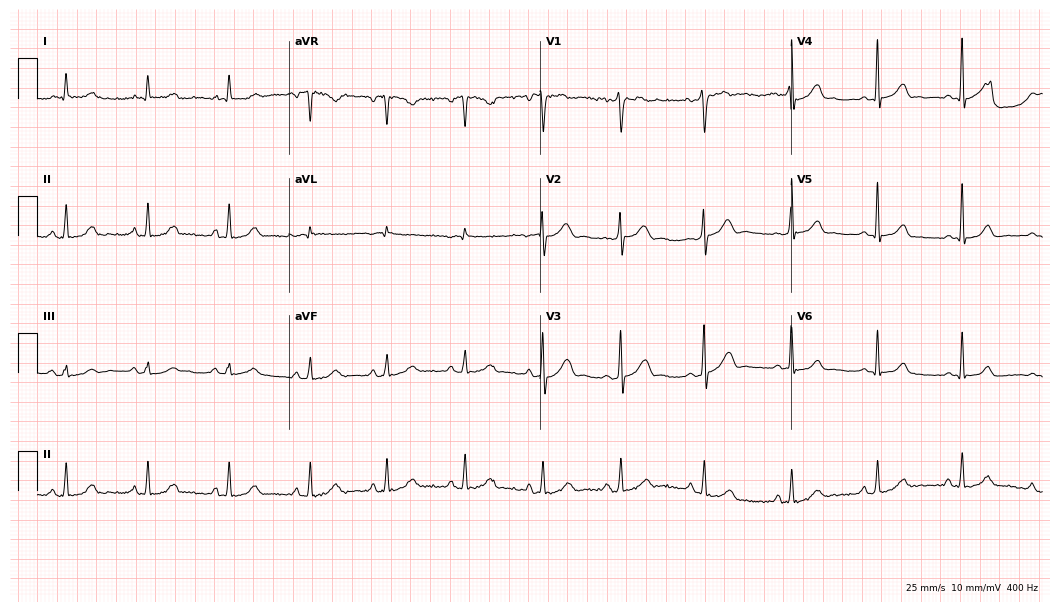
Electrocardiogram (10.2-second recording at 400 Hz), a 42-year-old male patient. Overall reading on record: normal ECG.